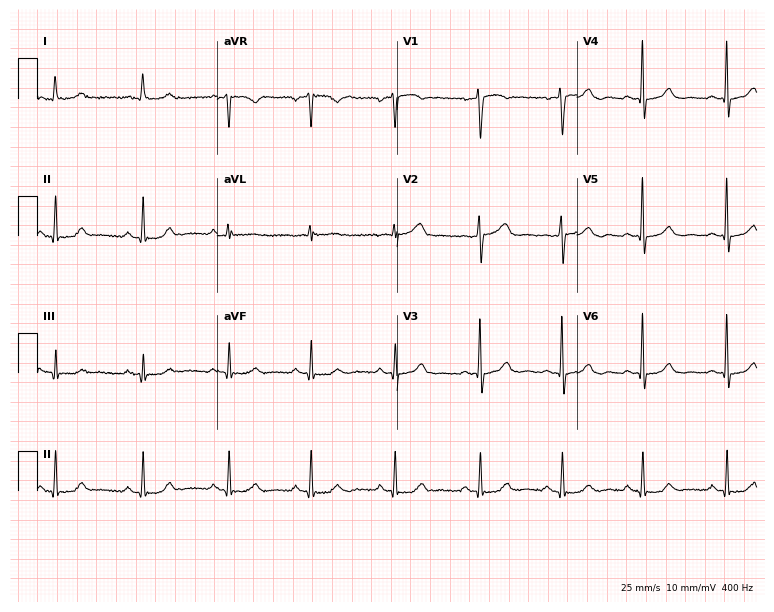
Standard 12-lead ECG recorded from a female, 59 years old (7.3-second recording at 400 Hz). None of these six findings is recorded: first-degree AV block, right bundle branch block (RBBB), left bundle branch block (LBBB), sinus bradycardia, atrial fibrillation (AF), sinus tachycardia. Other findings, if any, are not listed.